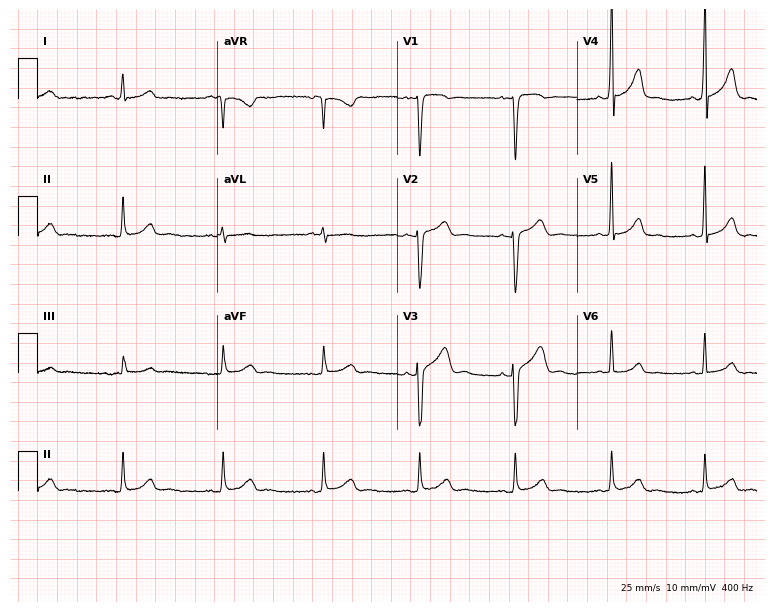
ECG — a 29-year-old male patient. Labelled as a normal ECG.